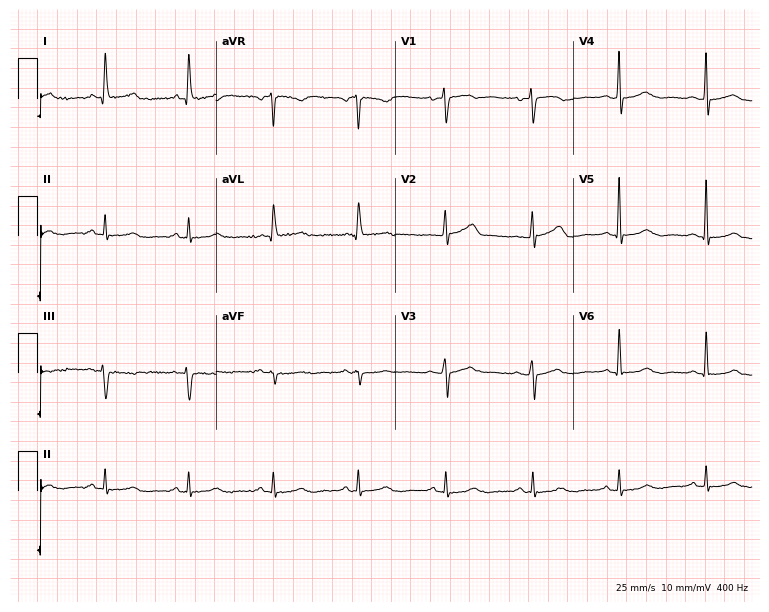
Electrocardiogram (7.3-second recording at 400 Hz), a 55-year-old female patient. Of the six screened findings (first-degree AV block, right bundle branch block (RBBB), left bundle branch block (LBBB), sinus bradycardia, atrial fibrillation (AF), sinus tachycardia), none is recorded.